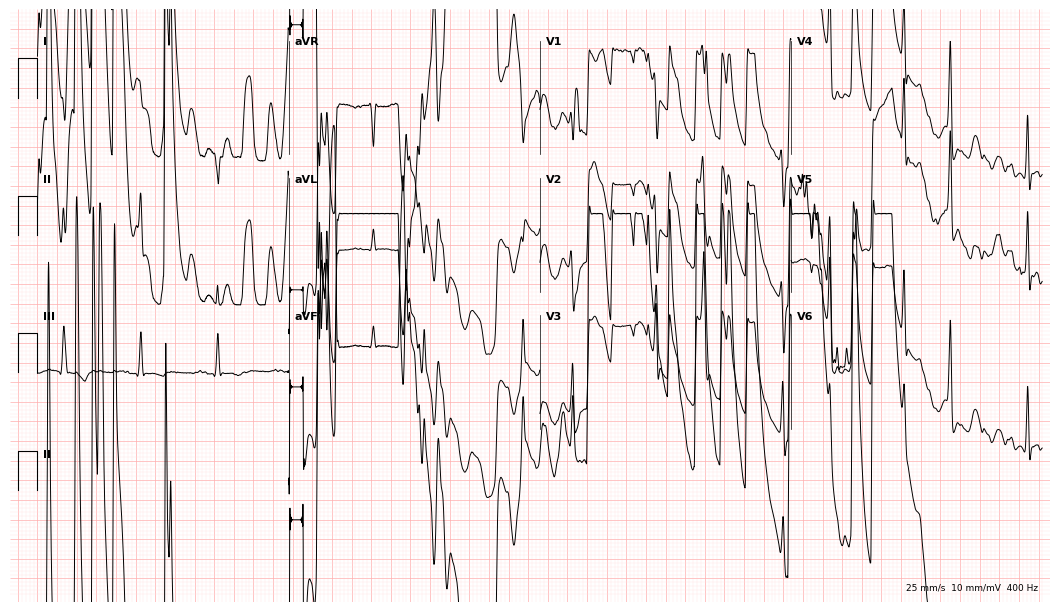
ECG — a 22-year-old male. Screened for six findings — first-degree AV block, right bundle branch block, left bundle branch block, sinus bradycardia, atrial fibrillation, sinus tachycardia — none is recorded.